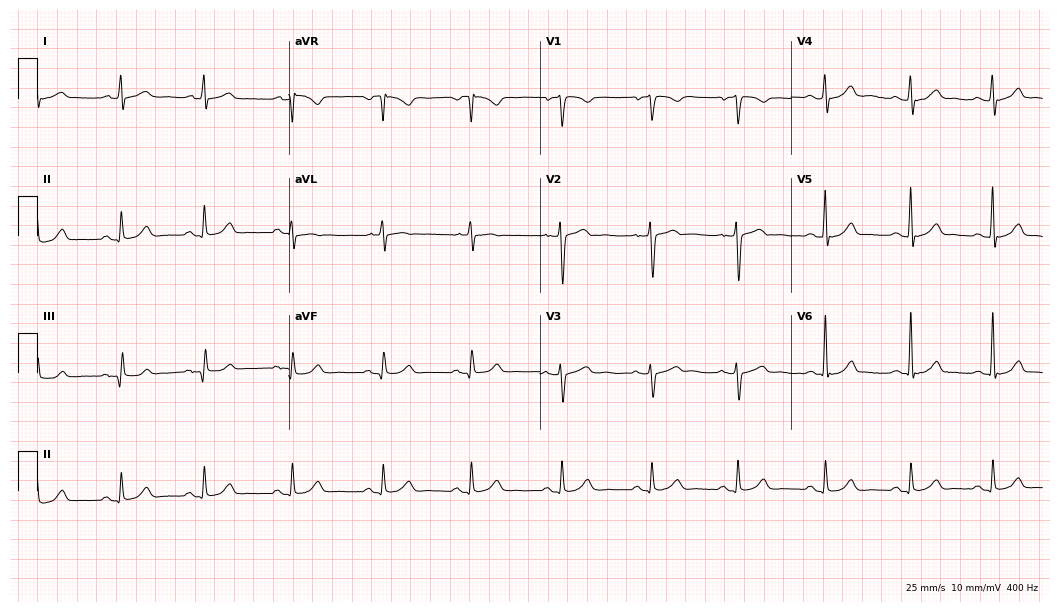
Standard 12-lead ECG recorded from a 36-year-old male patient. Read as a normal ECG.